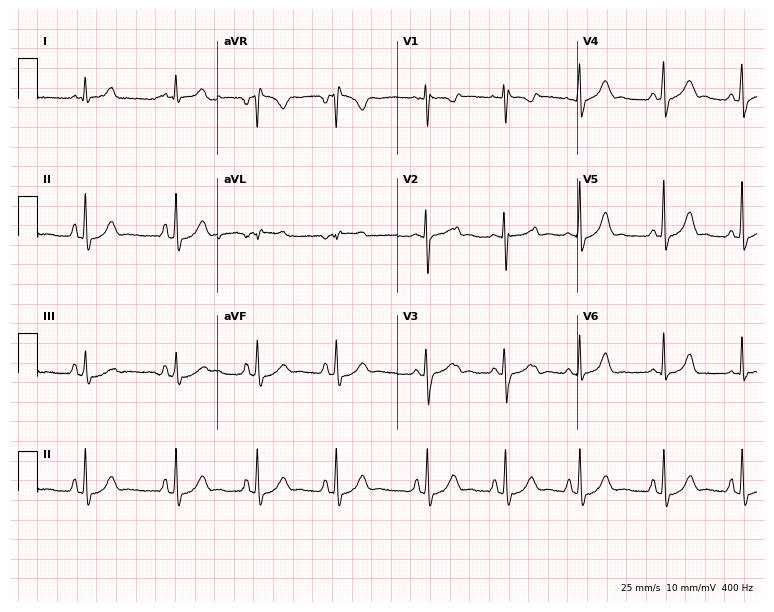
Resting 12-lead electrocardiogram (7.3-second recording at 400 Hz). Patient: a female, 26 years old. Read as a normal ECG.